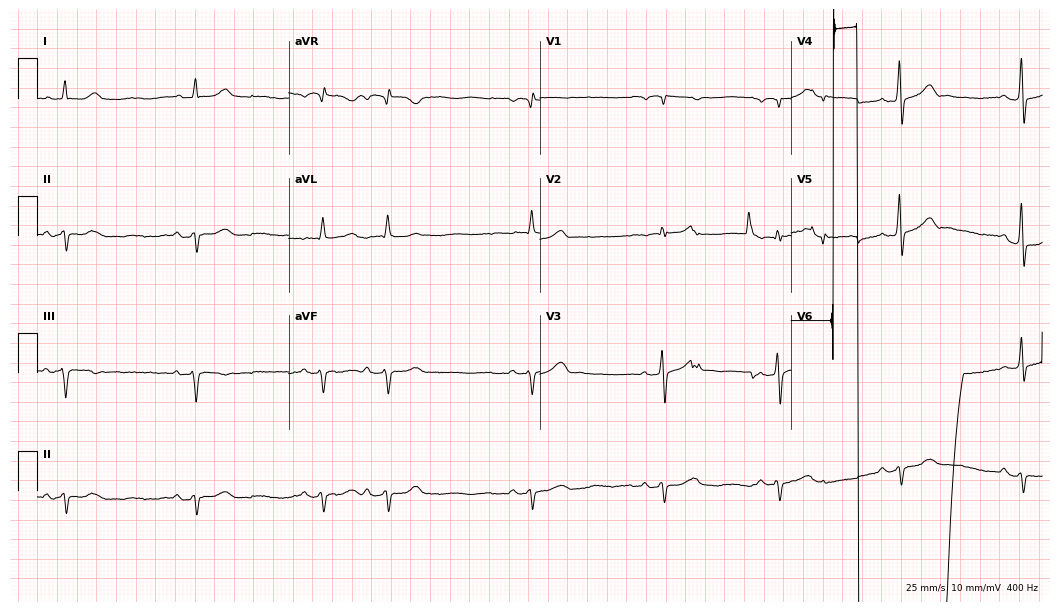
ECG — a 61-year-old male. Findings include sinus bradycardia (a sinus rate of 50 beats per minute or less).